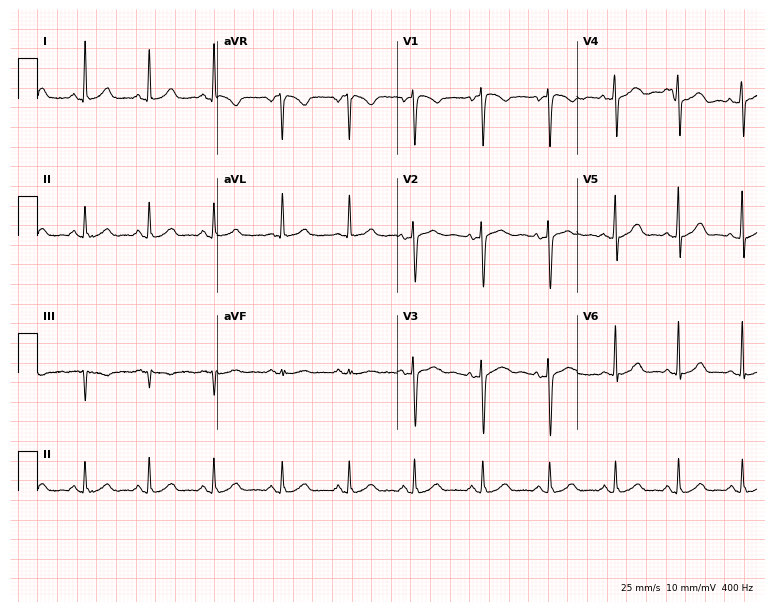
12-lead ECG (7.3-second recording at 400 Hz) from a woman, 48 years old. Labelled as a normal ECG.